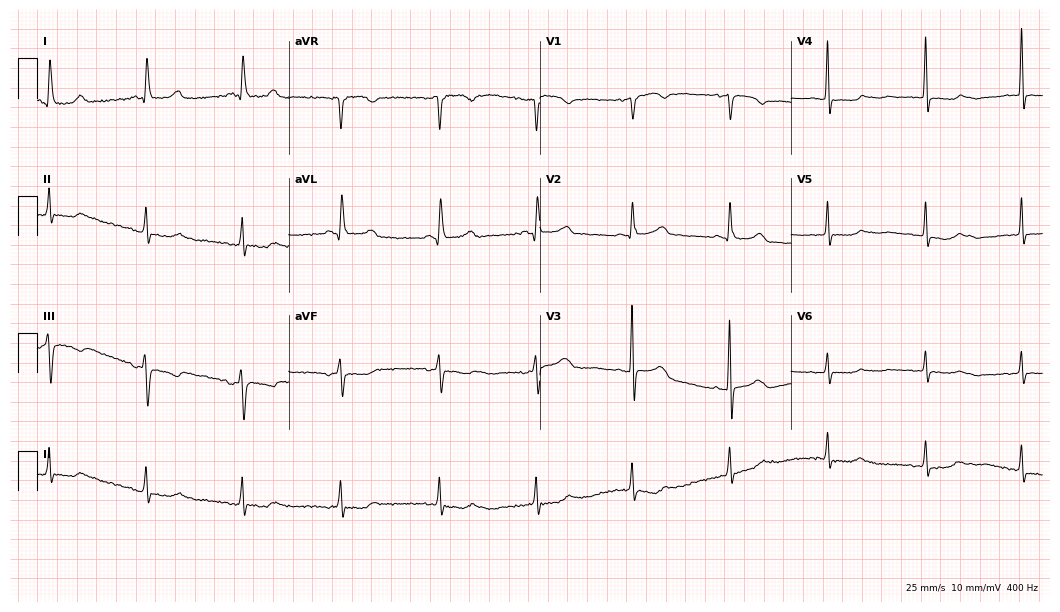
Resting 12-lead electrocardiogram. Patient: a 75-year-old woman. None of these six findings is recorded: first-degree AV block, right bundle branch block, left bundle branch block, sinus bradycardia, atrial fibrillation, sinus tachycardia. Other findings, if any, are not listed.